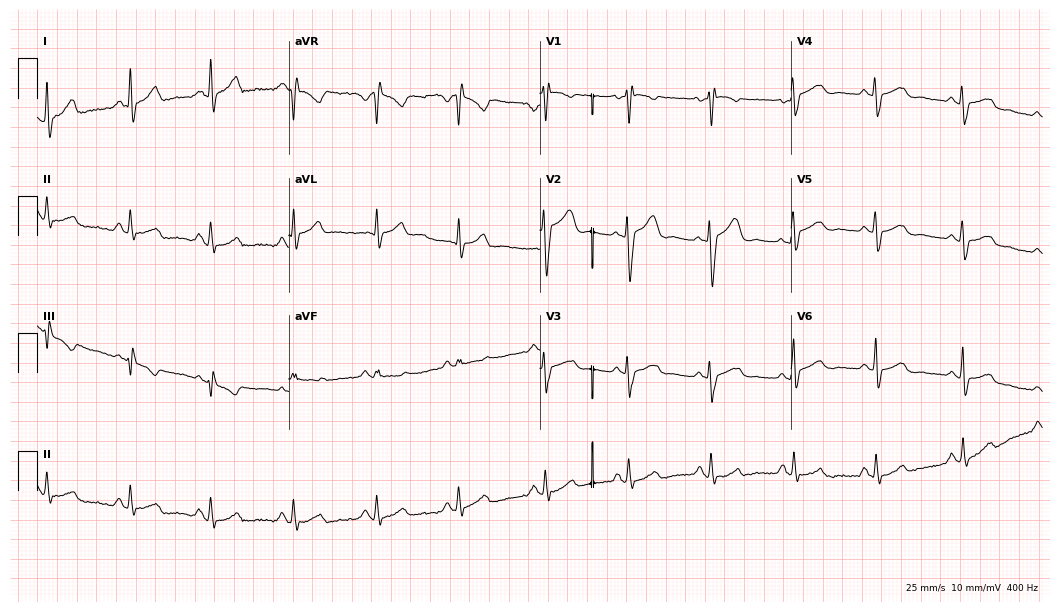
ECG (10.2-second recording at 400 Hz) — a 37-year-old female patient. Screened for six findings — first-degree AV block, right bundle branch block, left bundle branch block, sinus bradycardia, atrial fibrillation, sinus tachycardia — none is recorded. Findings outside these six are not listed.